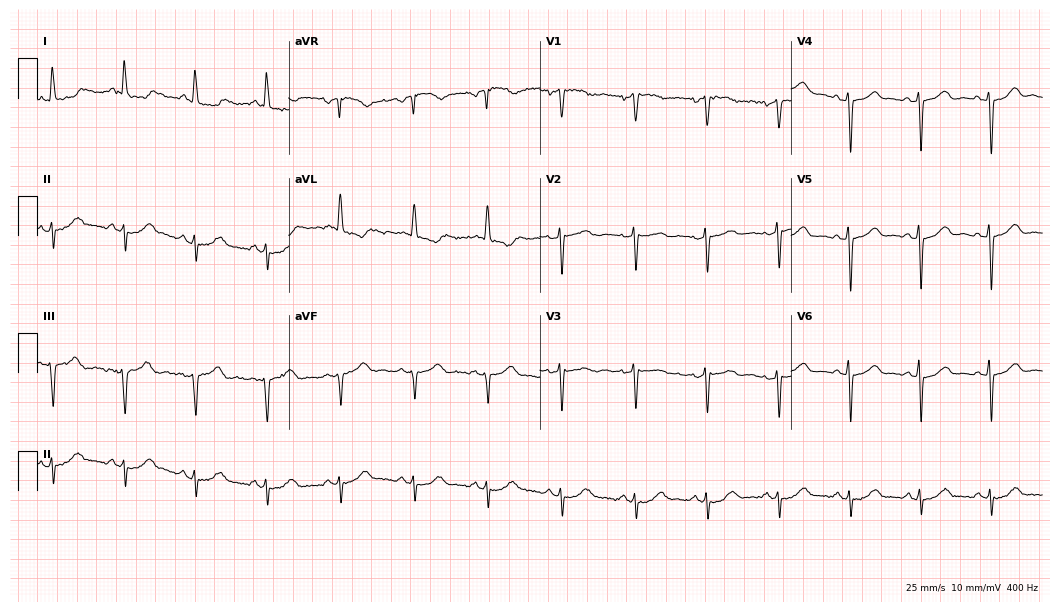
Resting 12-lead electrocardiogram (10.2-second recording at 400 Hz). Patient: a 63-year-old woman. None of these six findings is recorded: first-degree AV block, right bundle branch block, left bundle branch block, sinus bradycardia, atrial fibrillation, sinus tachycardia.